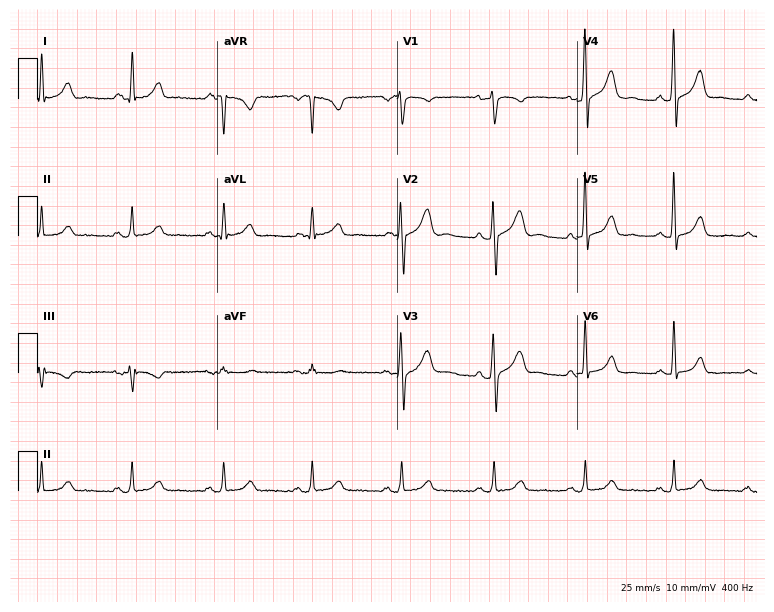
Electrocardiogram (7.3-second recording at 400 Hz), a 71-year-old male patient. Overall reading on record: normal ECG.